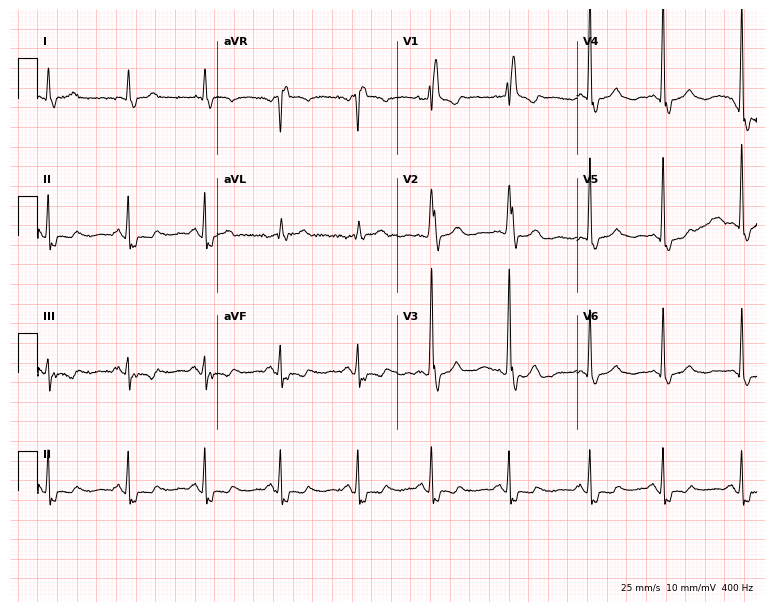
12-lead ECG (7.3-second recording at 400 Hz) from a 72-year-old male. Findings include right bundle branch block.